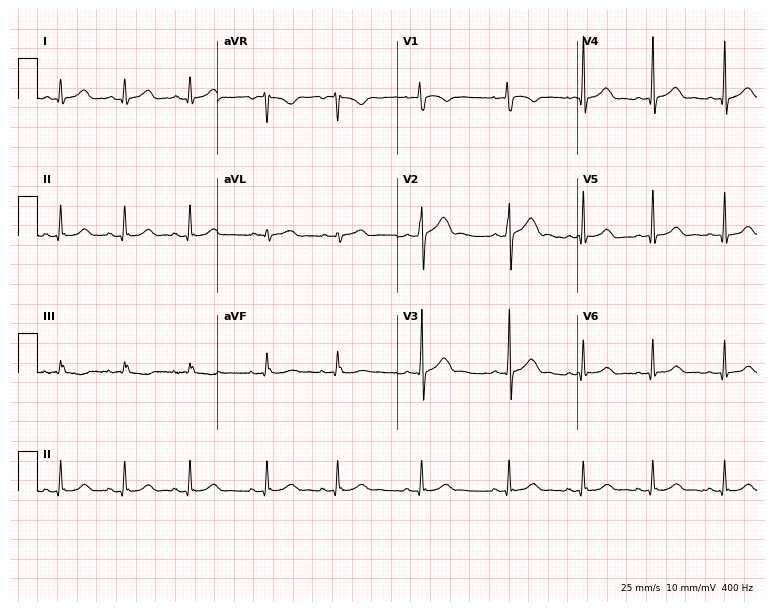
Electrocardiogram (7.3-second recording at 400 Hz), a 23-year-old female patient. Overall reading on record: normal ECG.